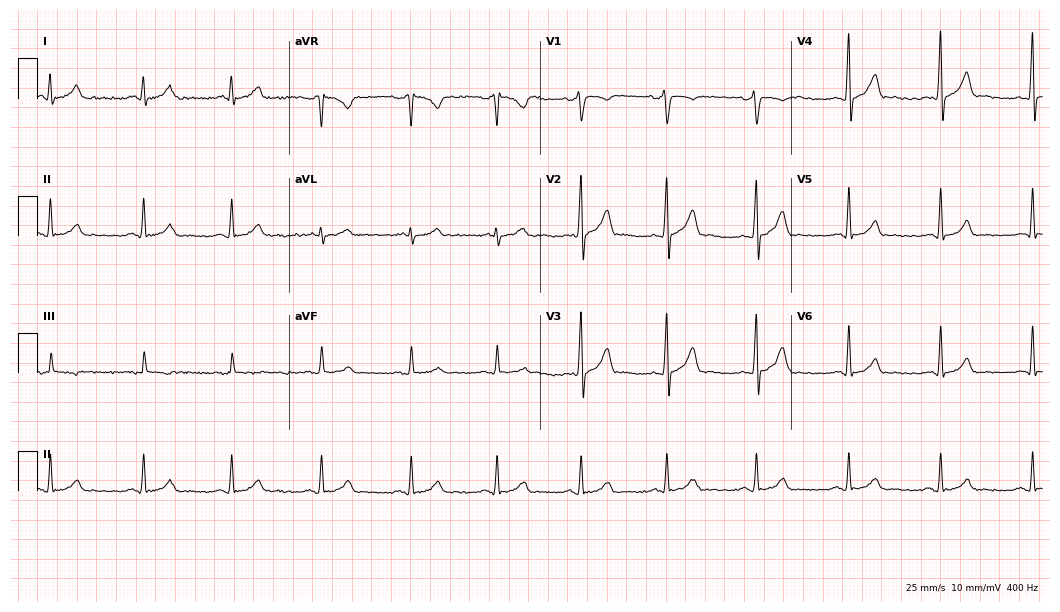
Standard 12-lead ECG recorded from a 30-year-old male (10.2-second recording at 400 Hz). Read as a normal ECG.